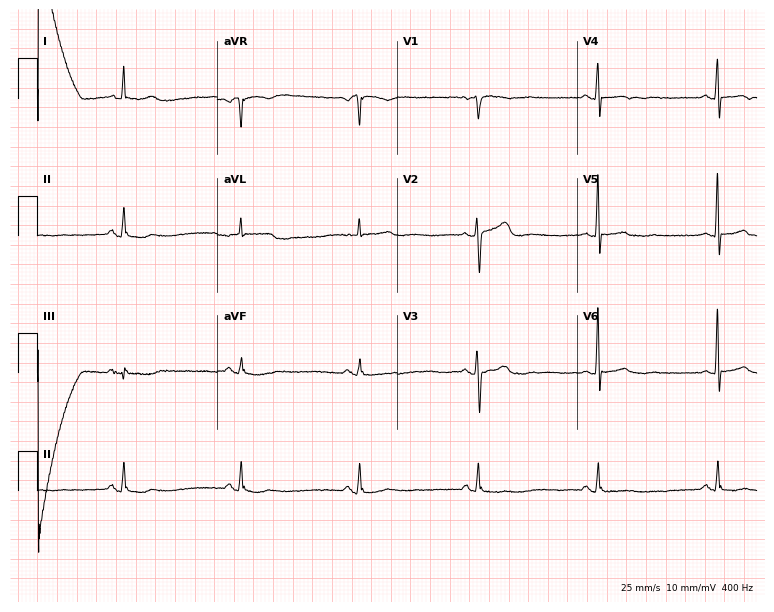
12-lead ECG (7.3-second recording at 400 Hz) from a female patient, 57 years old. Screened for six findings — first-degree AV block, right bundle branch block, left bundle branch block, sinus bradycardia, atrial fibrillation, sinus tachycardia — none is recorded.